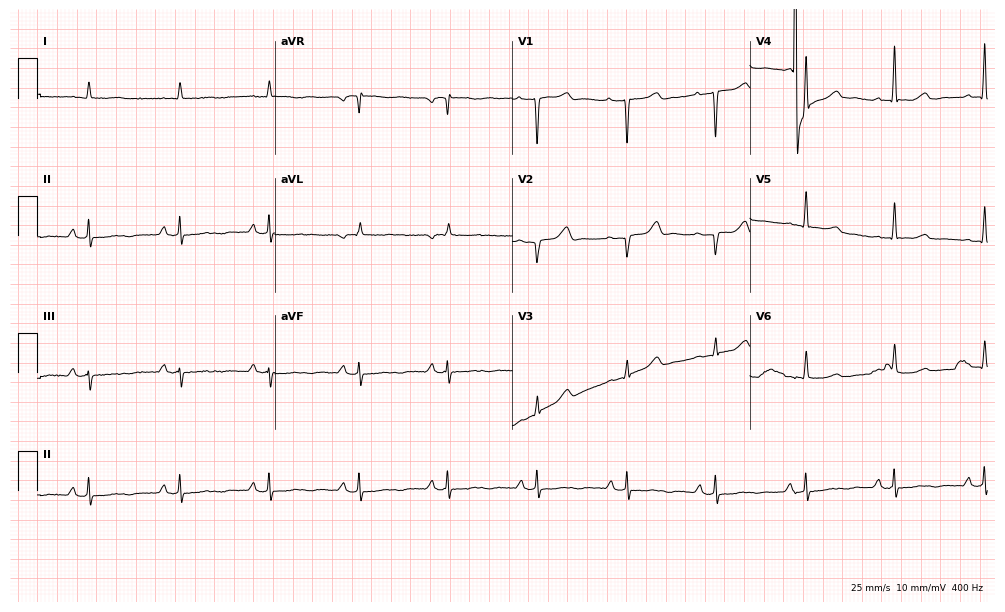
ECG (9.7-second recording at 400 Hz) — an 84-year-old woman. Screened for six findings — first-degree AV block, right bundle branch block, left bundle branch block, sinus bradycardia, atrial fibrillation, sinus tachycardia — none is recorded. Only these six findings were labelled.